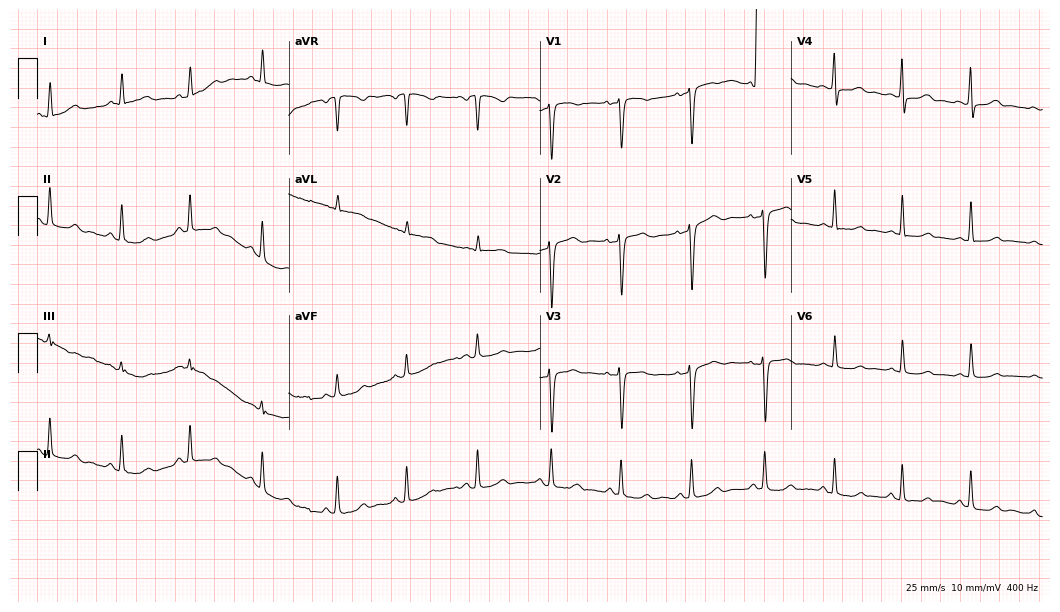
Electrocardiogram (10.2-second recording at 400 Hz), a female, 53 years old. Of the six screened findings (first-degree AV block, right bundle branch block, left bundle branch block, sinus bradycardia, atrial fibrillation, sinus tachycardia), none is recorded. Other findings, if any, are not listed.